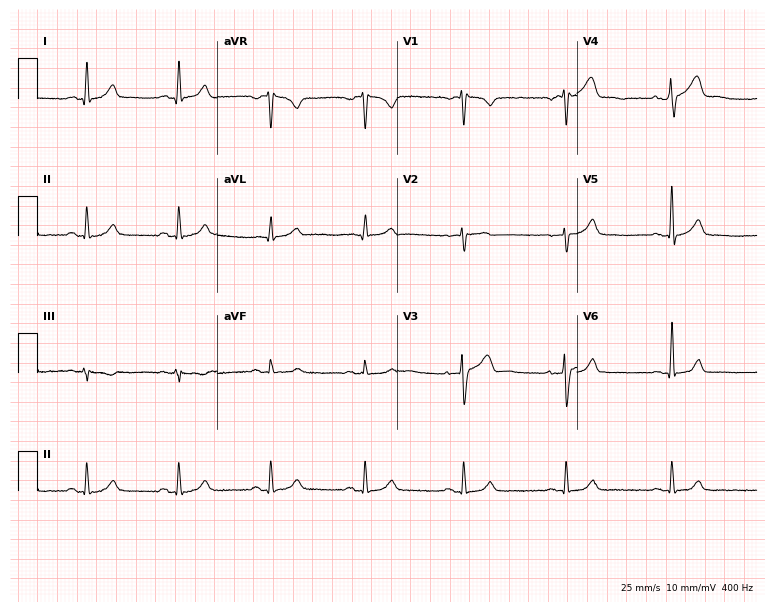
Resting 12-lead electrocardiogram (7.3-second recording at 400 Hz). Patient: a male, 41 years old. None of these six findings is recorded: first-degree AV block, right bundle branch block (RBBB), left bundle branch block (LBBB), sinus bradycardia, atrial fibrillation (AF), sinus tachycardia. Other findings, if any, are not listed.